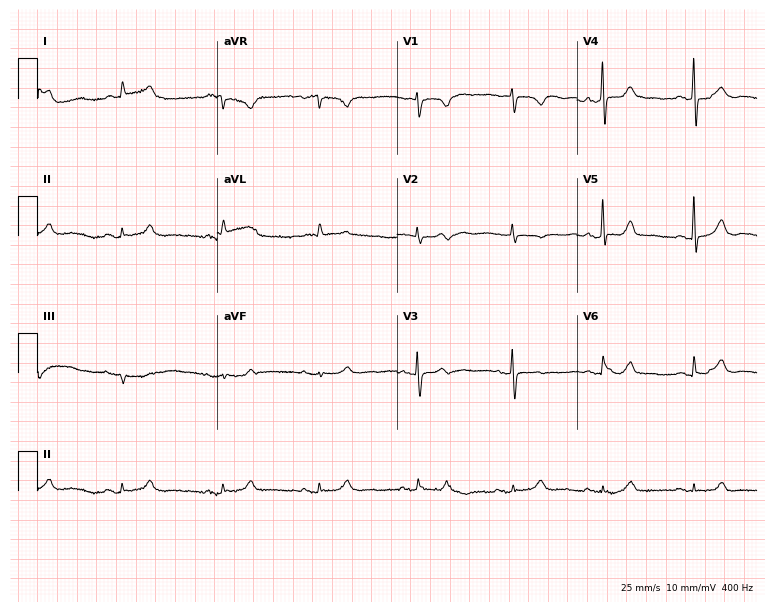
Electrocardiogram, a 79-year-old woman. Of the six screened findings (first-degree AV block, right bundle branch block, left bundle branch block, sinus bradycardia, atrial fibrillation, sinus tachycardia), none is recorded. Findings outside these six are not listed.